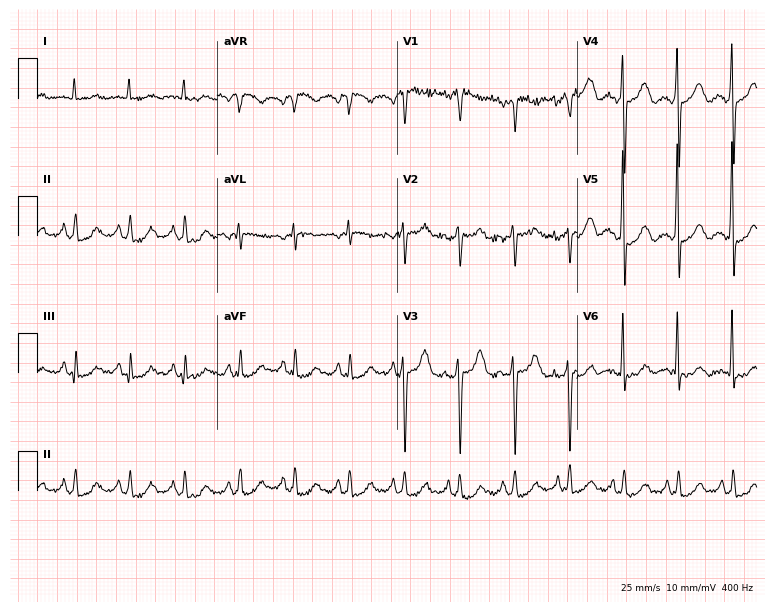
Electrocardiogram, a female patient, 57 years old. Interpretation includes sinus tachycardia (a sinus rate of 100 beats per minute or more).